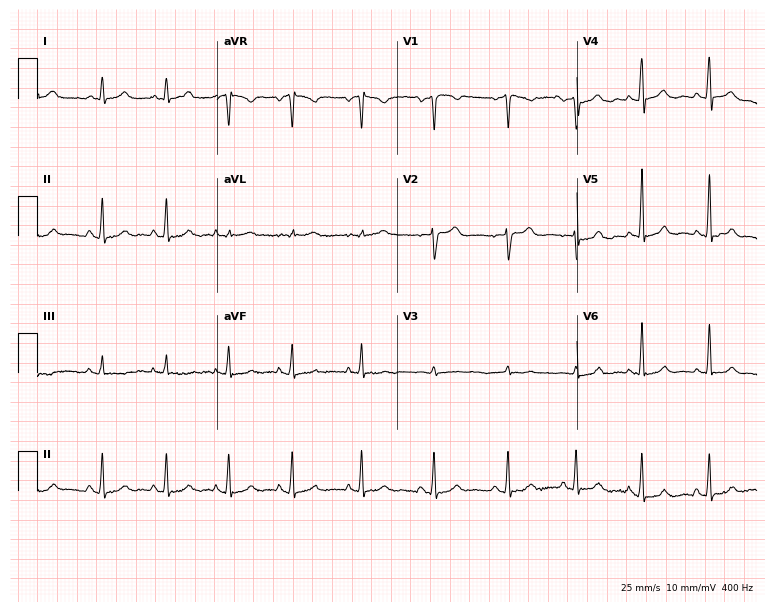
12-lead ECG from a 23-year-old woman. Recorded interpretation: within normal limits.